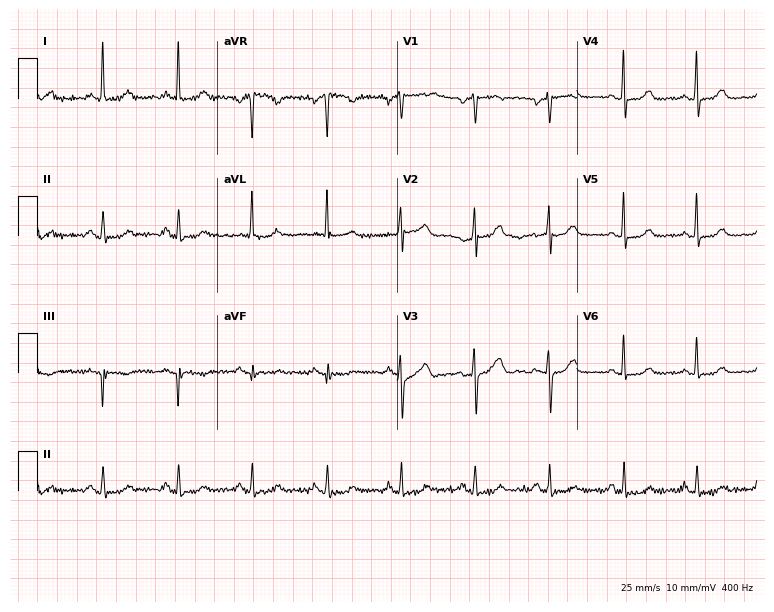
12-lead ECG from a female patient, 54 years old (7.3-second recording at 400 Hz). No first-degree AV block, right bundle branch block (RBBB), left bundle branch block (LBBB), sinus bradycardia, atrial fibrillation (AF) or sinus tachycardia recorded for this tracing. Other findings, if any, are not listed.